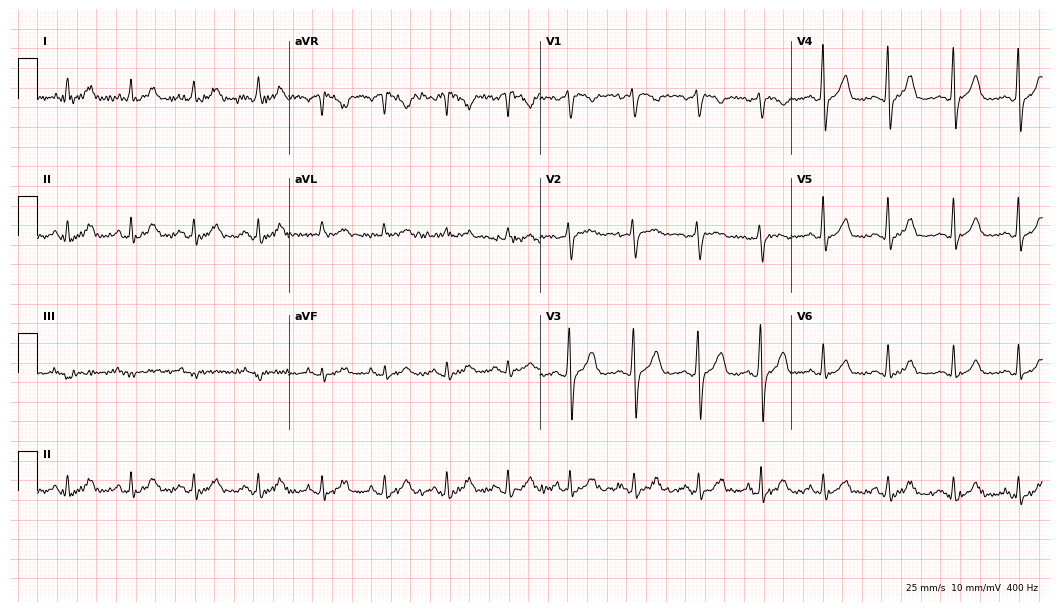
Resting 12-lead electrocardiogram (10.2-second recording at 400 Hz). Patient: a 56-year-old woman. None of these six findings is recorded: first-degree AV block, right bundle branch block, left bundle branch block, sinus bradycardia, atrial fibrillation, sinus tachycardia. Other findings, if any, are not listed.